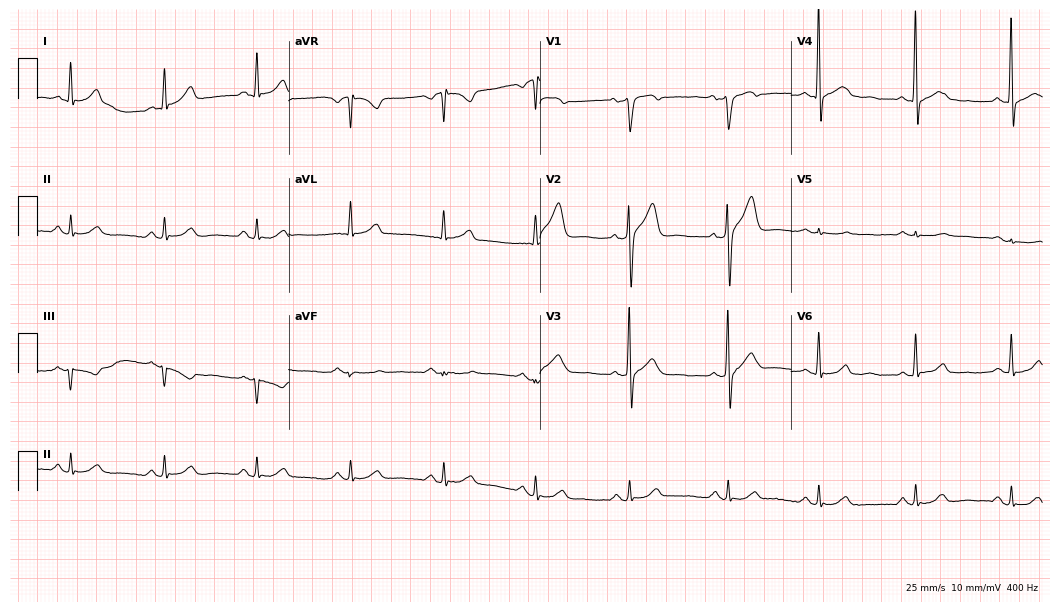
Standard 12-lead ECG recorded from a man, 59 years old (10.2-second recording at 400 Hz). None of these six findings is recorded: first-degree AV block, right bundle branch block (RBBB), left bundle branch block (LBBB), sinus bradycardia, atrial fibrillation (AF), sinus tachycardia.